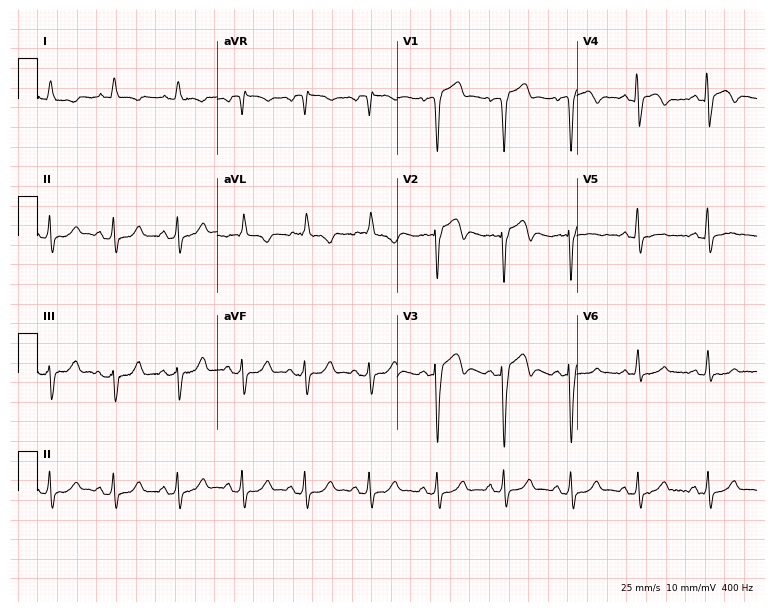
ECG (7.3-second recording at 400 Hz) — a 71-year-old male patient. Screened for six findings — first-degree AV block, right bundle branch block (RBBB), left bundle branch block (LBBB), sinus bradycardia, atrial fibrillation (AF), sinus tachycardia — none is recorded. Other findings, if any, are not listed.